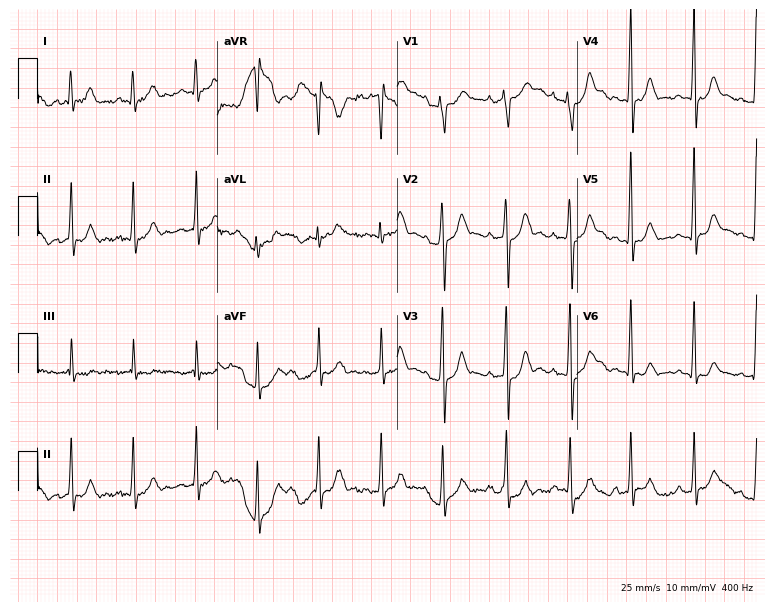
ECG (7.3-second recording at 400 Hz) — a 17-year-old male patient. Labelled as a normal ECG.